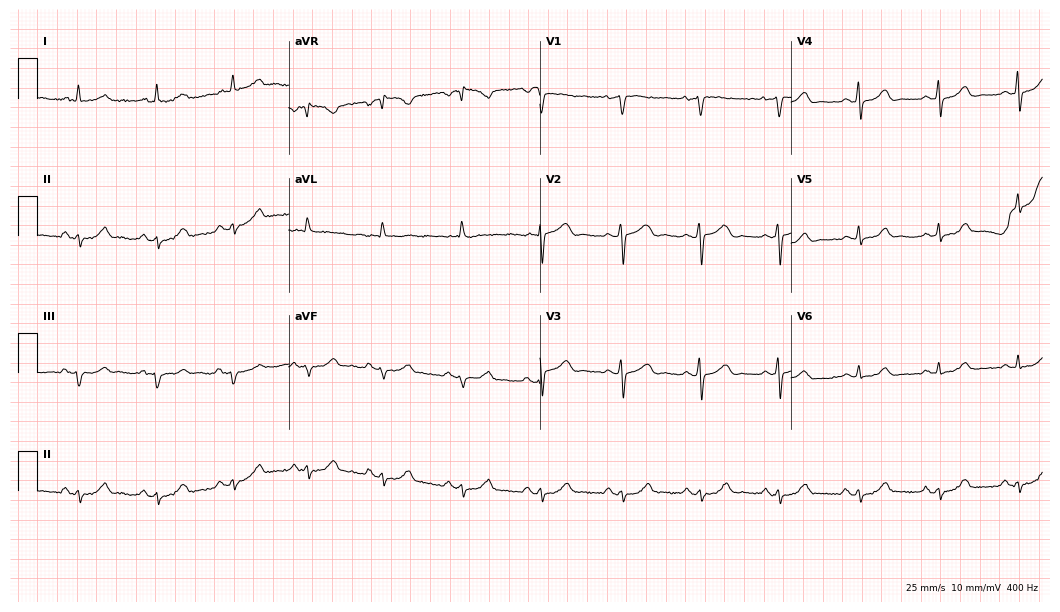
Electrocardiogram (10.2-second recording at 400 Hz), a female patient, 82 years old. Of the six screened findings (first-degree AV block, right bundle branch block (RBBB), left bundle branch block (LBBB), sinus bradycardia, atrial fibrillation (AF), sinus tachycardia), none is recorded. Other findings, if any, are not listed.